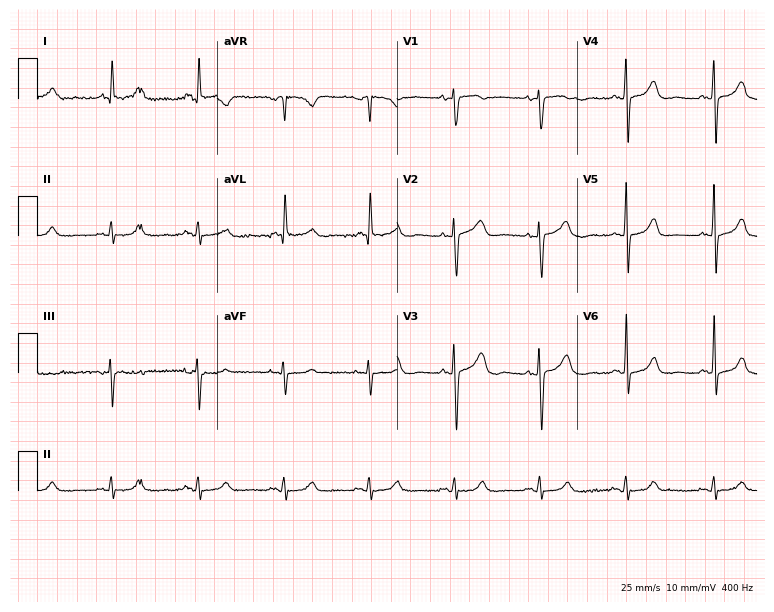
Resting 12-lead electrocardiogram. Patient: a 61-year-old female. None of these six findings is recorded: first-degree AV block, right bundle branch block, left bundle branch block, sinus bradycardia, atrial fibrillation, sinus tachycardia.